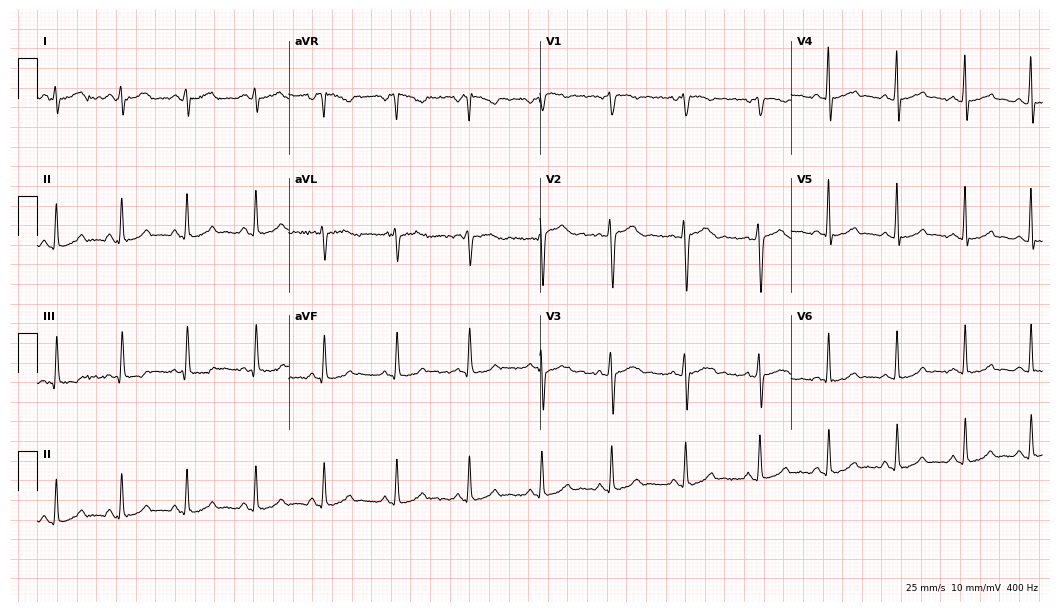
Electrocardiogram (10.2-second recording at 400 Hz), an 18-year-old woman. Of the six screened findings (first-degree AV block, right bundle branch block (RBBB), left bundle branch block (LBBB), sinus bradycardia, atrial fibrillation (AF), sinus tachycardia), none is recorded.